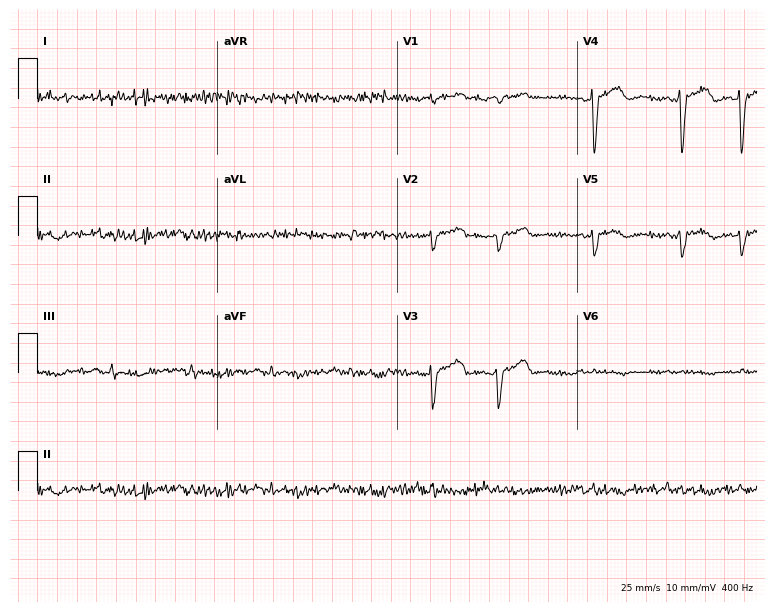
12-lead ECG from an 84-year-old man (7.3-second recording at 400 Hz). No first-degree AV block, right bundle branch block (RBBB), left bundle branch block (LBBB), sinus bradycardia, atrial fibrillation (AF) or sinus tachycardia recorded for this tracing.